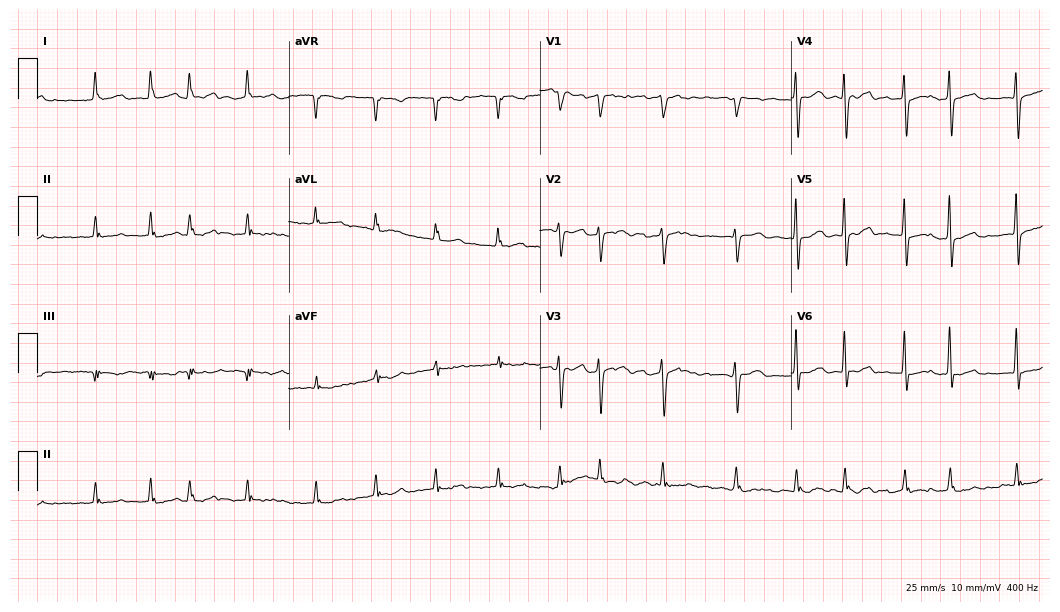
Resting 12-lead electrocardiogram. Patient: a 73-year-old woman. The tracing shows atrial fibrillation (AF).